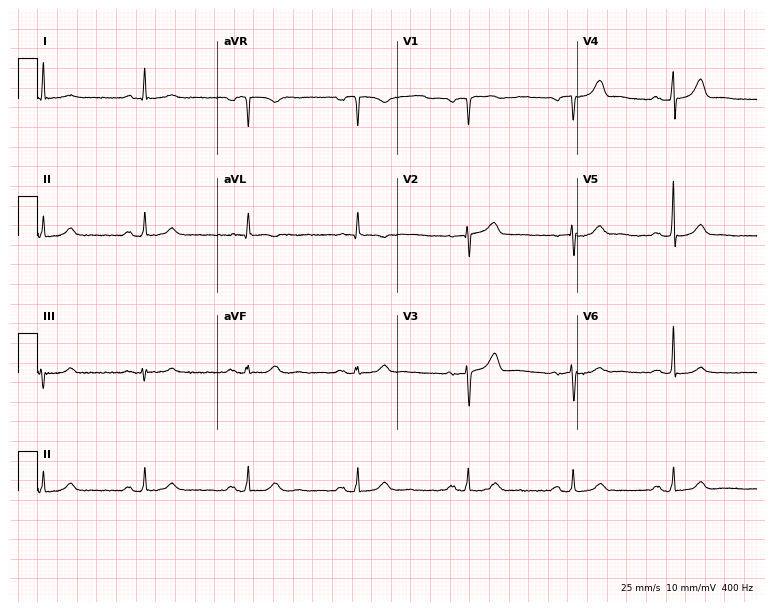
Electrocardiogram (7.3-second recording at 400 Hz), a man, 71 years old. Overall reading on record: normal ECG.